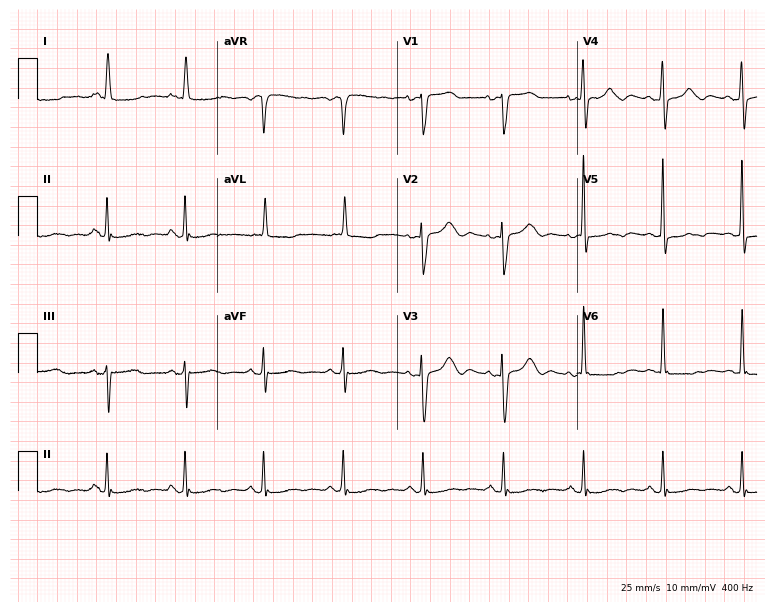
ECG (7.3-second recording at 400 Hz) — a female patient, 85 years old. Screened for six findings — first-degree AV block, right bundle branch block, left bundle branch block, sinus bradycardia, atrial fibrillation, sinus tachycardia — none is recorded.